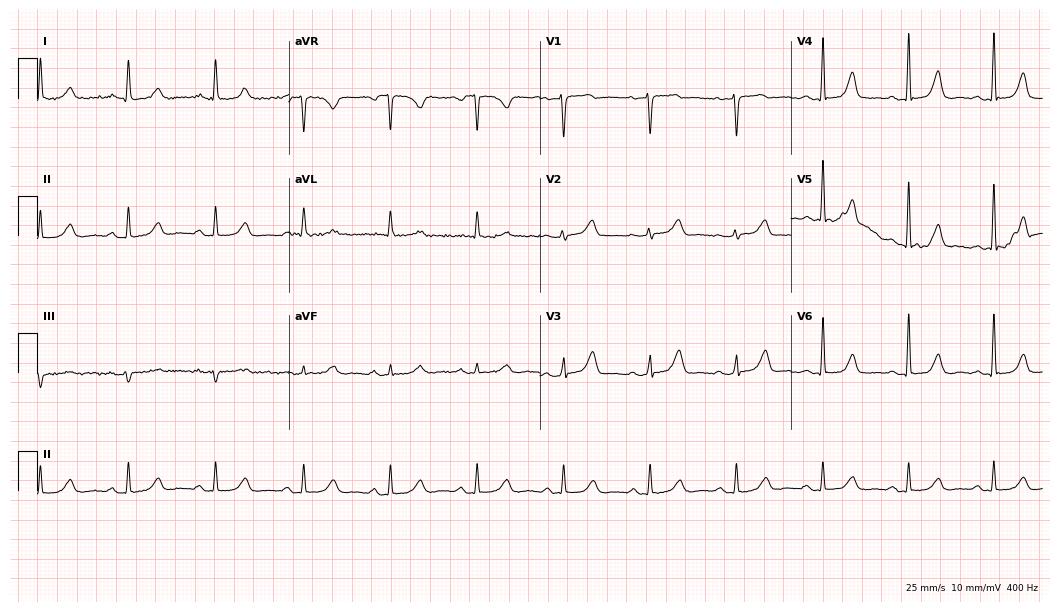
ECG (10.2-second recording at 400 Hz) — a 53-year-old woman. Screened for six findings — first-degree AV block, right bundle branch block, left bundle branch block, sinus bradycardia, atrial fibrillation, sinus tachycardia — none is recorded. Other findings, if any, are not listed.